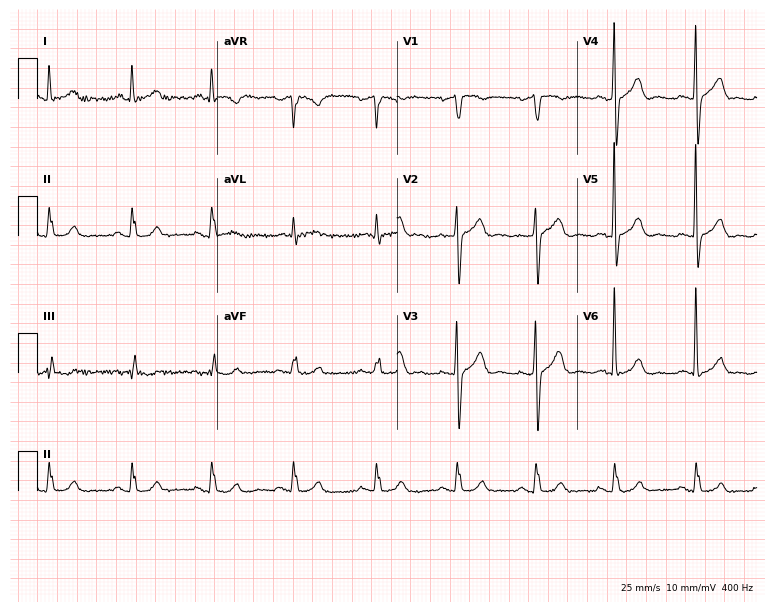
Resting 12-lead electrocardiogram (7.3-second recording at 400 Hz). Patient: a male, 66 years old. Read as a normal ECG.